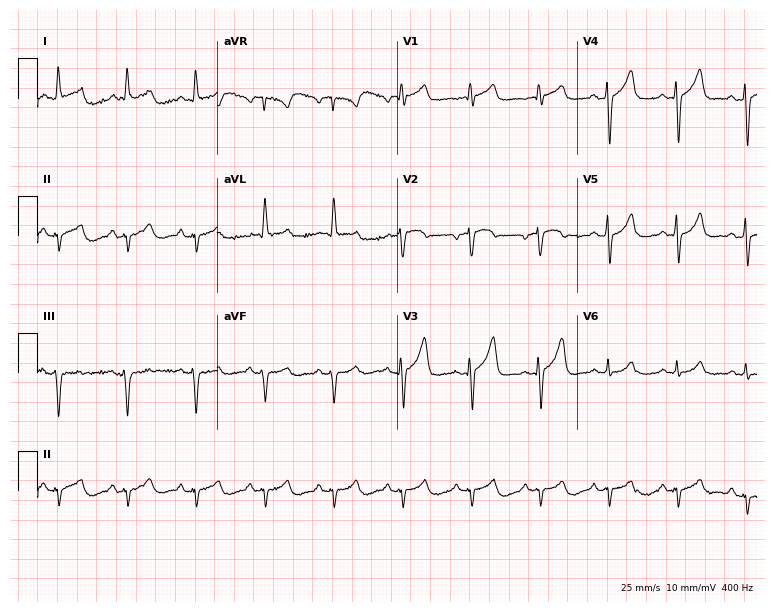
12-lead ECG from a man, 72 years old. No first-degree AV block, right bundle branch block, left bundle branch block, sinus bradycardia, atrial fibrillation or sinus tachycardia recorded for this tracing. Findings outside these six are not listed.